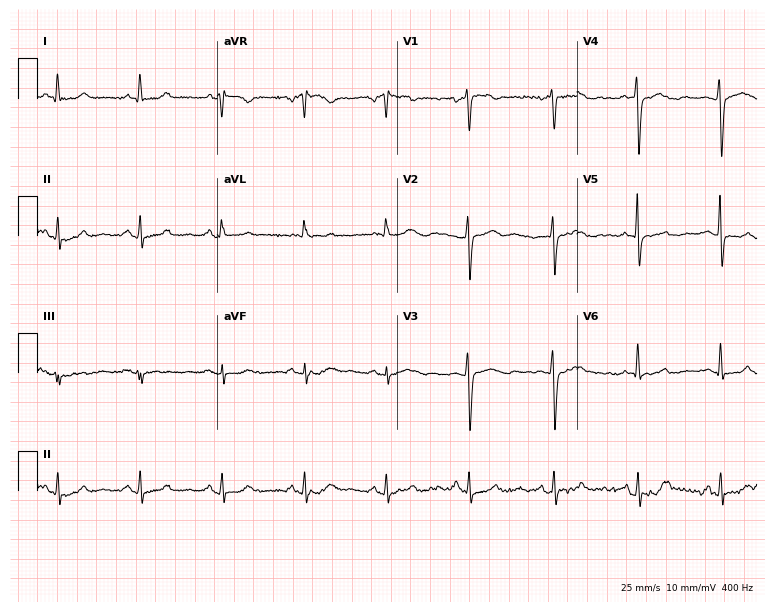
12-lead ECG (7.3-second recording at 400 Hz) from a 51-year-old female patient. Screened for six findings — first-degree AV block, right bundle branch block, left bundle branch block, sinus bradycardia, atrial fibrillation, sinus tachycardia — none is recorded.